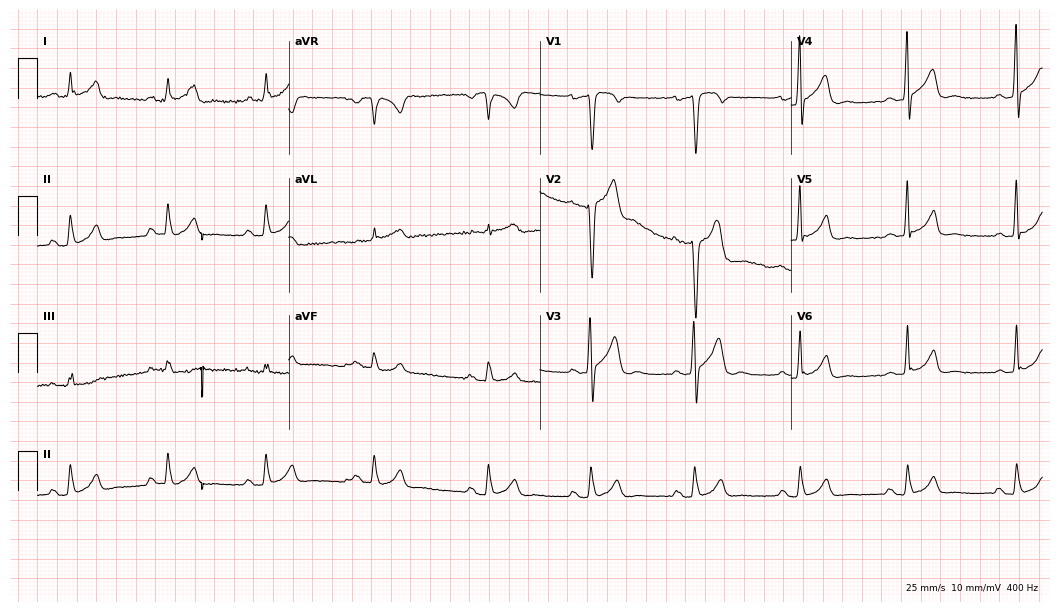
12-lead ECG from a 29-year-old male. Screened for six findings — first-degree AV block, right bundle branch block, left bundle branch block, sinus bradycardia, atrial fibrillation, sinus tachycardia — none is recorded. Other findings, if any, are not listed.